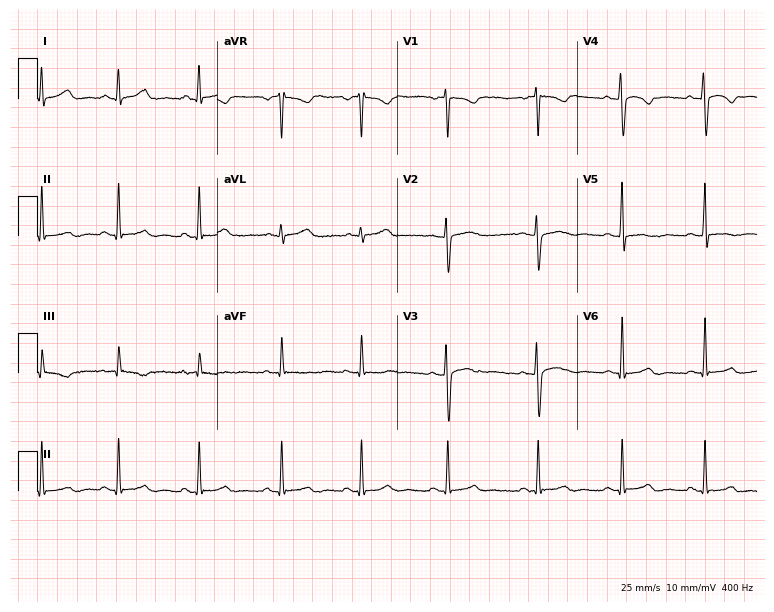
ECG — a female, 27 years old. Screened for six findings — first-degree AV block, right bundle branch block (RBBB), left bundle branch block (LBBB), sinus bradycardia, atrial fibrillation (AF), sinus tachycardia — none is recorded. Findings outside these six are not listed.